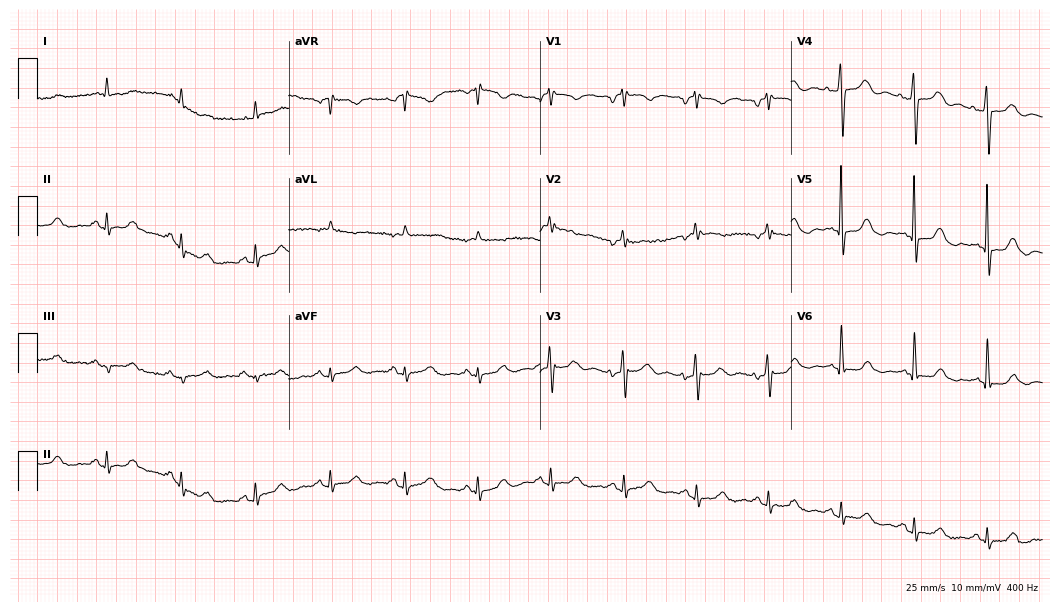
12-lead ECG from a 79-year-old female patient. No first-degree AV block, right bundle branch block, left bundle branch block, sinus bradycardia, atrial fibrillation or sinus tachycardia recorded for this tracing. Only these six findings were labelled.